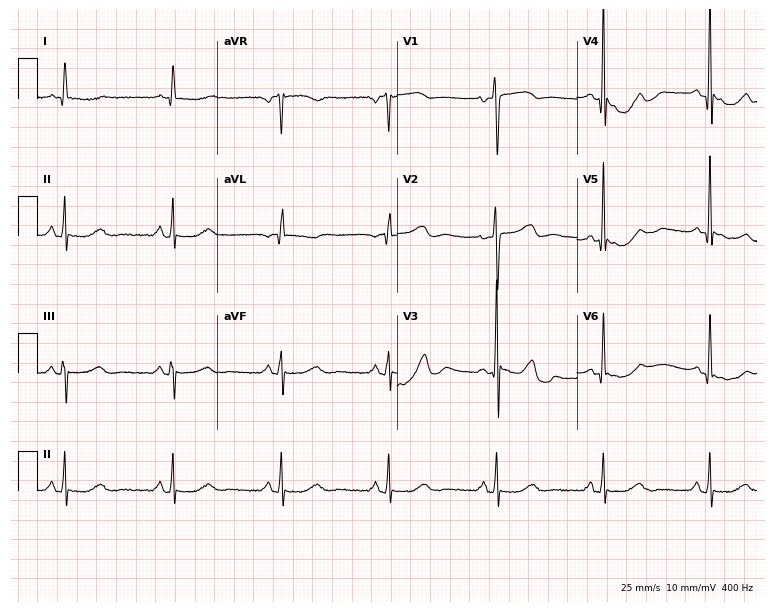
12-lead ECG from a female, 71 years old. No first-degree AV block, right bundle branch block (RBBB), left bundle branch block (LBBB), sinus bradycardia, atrial fibrillation (AF) or sinus tachycardia recorded for this tracing. Other findings, if any, are not listed.